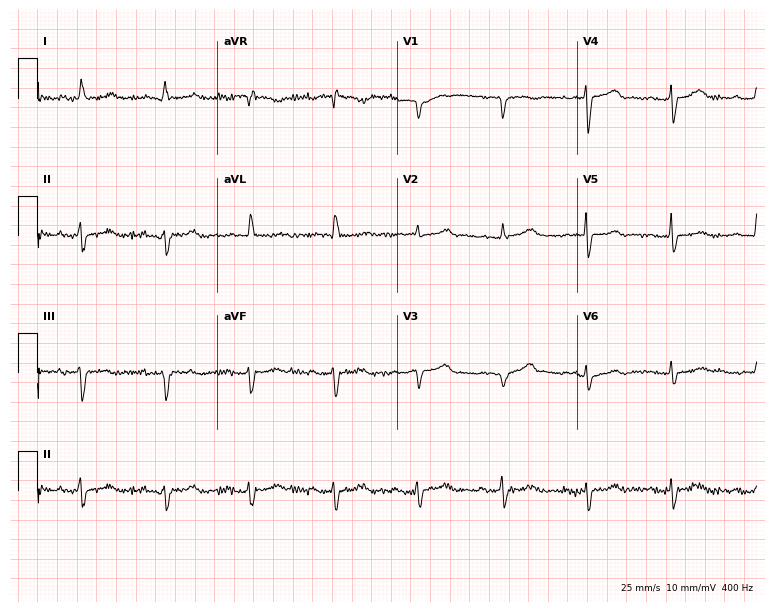
Standard 12-lead ECG recorded from a 77-year-old male patient. None of these six findings is recorded: first-degree AV block, right bundle branch block, left bundle branch block, sinus bradycardia, atrial fibrillation, sinus tachycardia. Only these six findings were labelled.